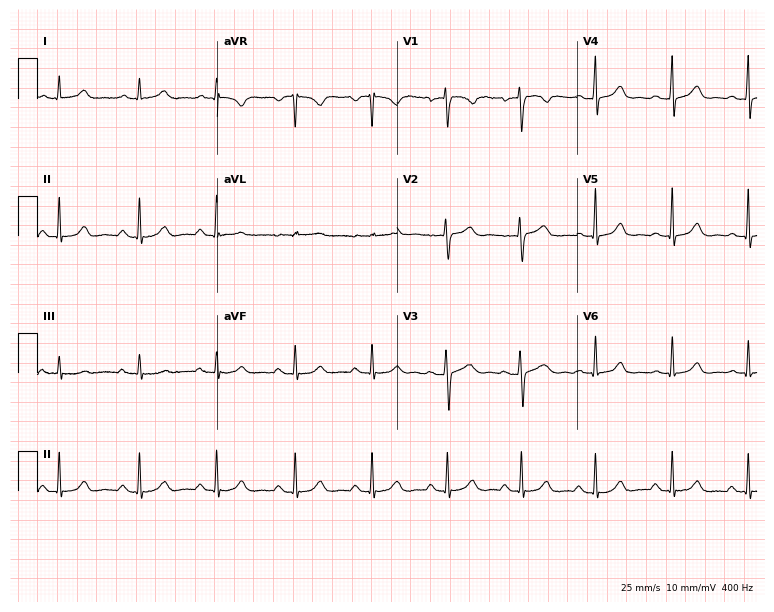
ECG — a female, 39 years old. Labelled as a normal ECG.